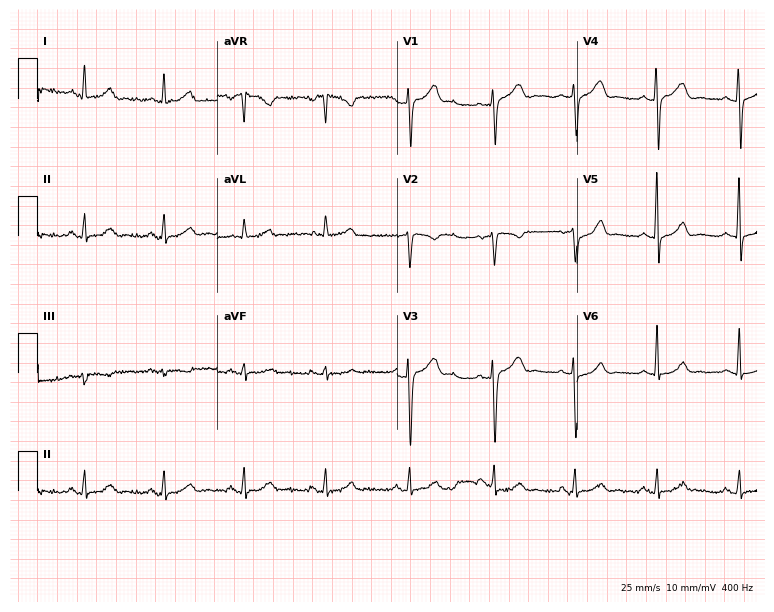
12-lead ECG from a 46-year-old woman. Screened for six findings — first-degree AV block, right bundle branch block, left bundle branch block, sinus bradycardia, atrial fibrillation, sinus tachycardia — none is recorded. Other findings, if any, are not listed.